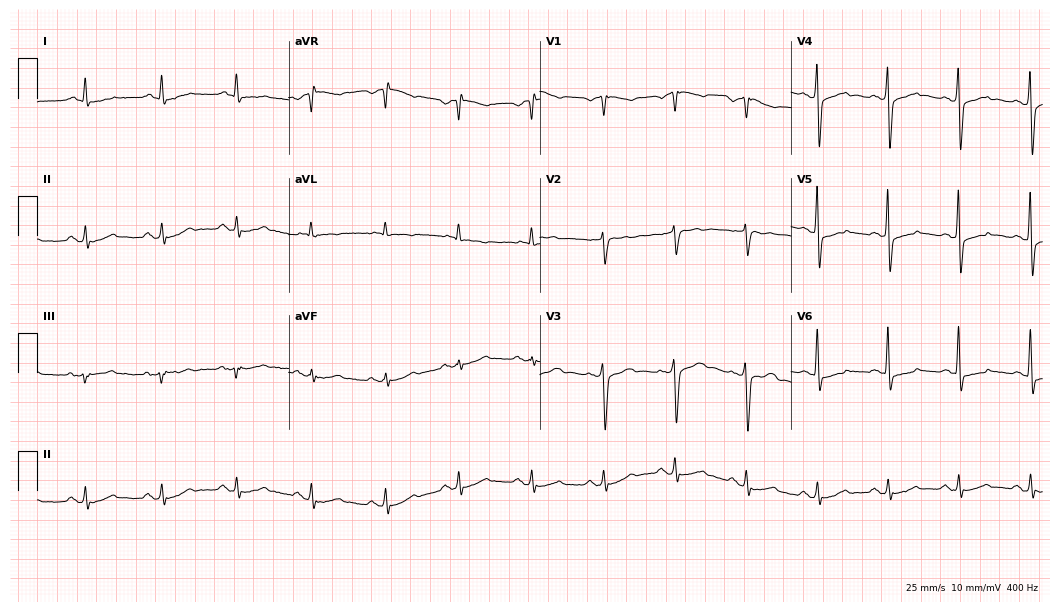
Electrocardiogram, a man, 61 years old. Overall reading on record: normal ECG.